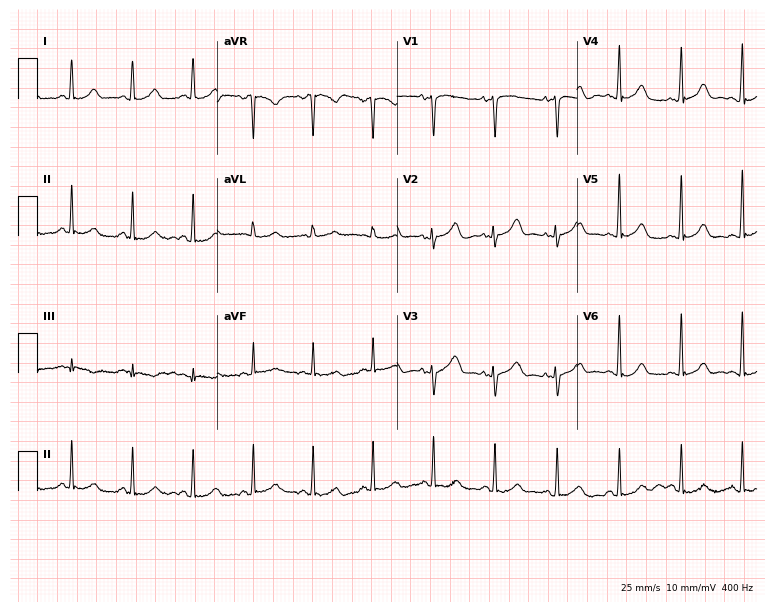
12-lead ECG from a 69-year-old female patient. Labelled as a normal ECG.